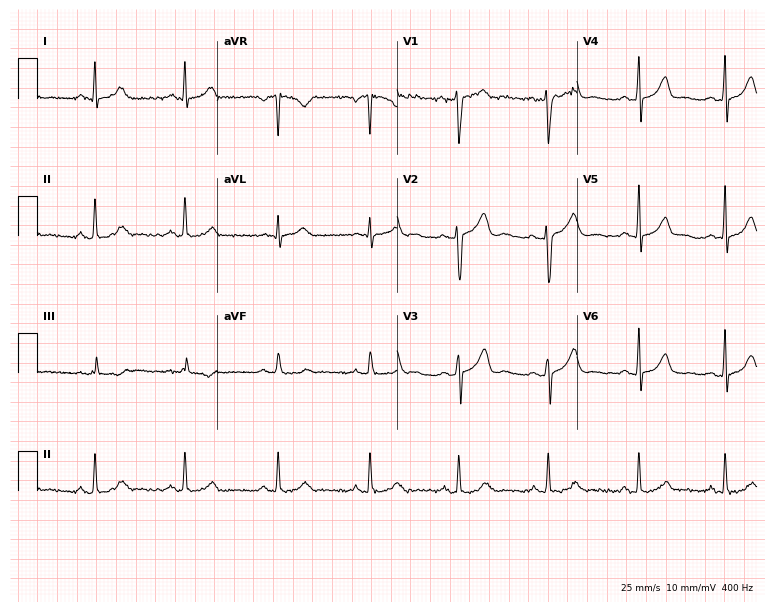
12-lead ECG from a woman, 35 years old (7.3-second recording at 400 Hz). No first-degree AV block, right bundle branch block (RBBB), left bundle branch block (LBBB), sinus bradycardia, atrial fibrillation (AF) or sinus tachycardia recorded for this tracing. Other findings, if any, are not listed.